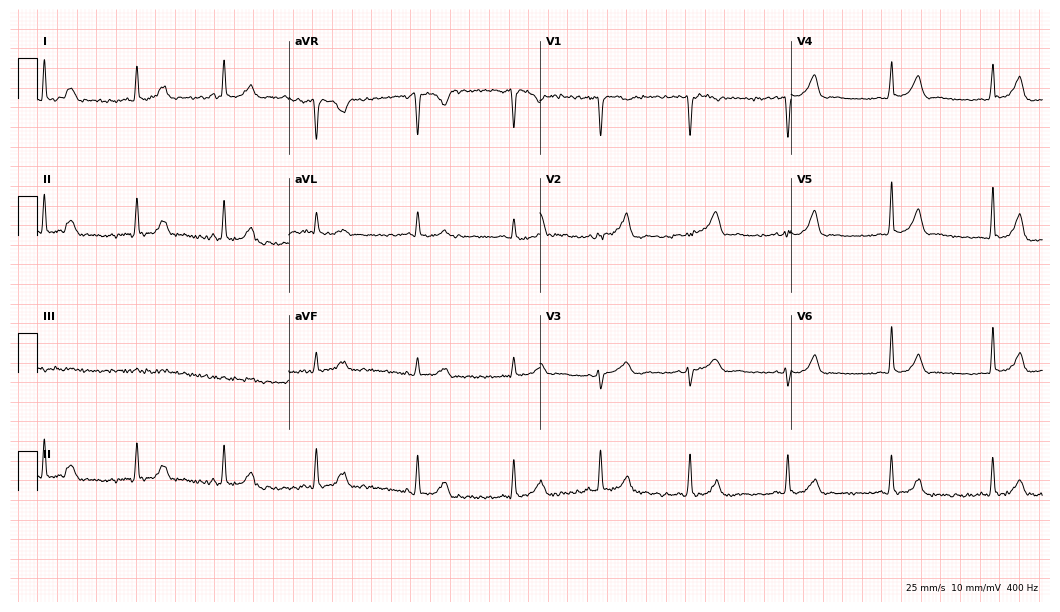
Electrocardiogram (10.2-second recording at 400 Hz), a female patient, 20 years old. Overall reading on record: normal ECG.